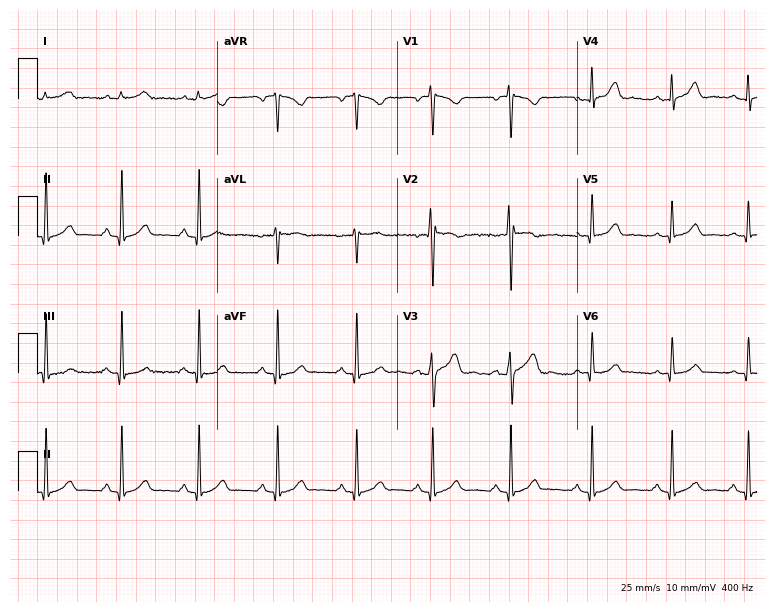
ECG — a male, 20 years old. Labelled as a normal ECG.